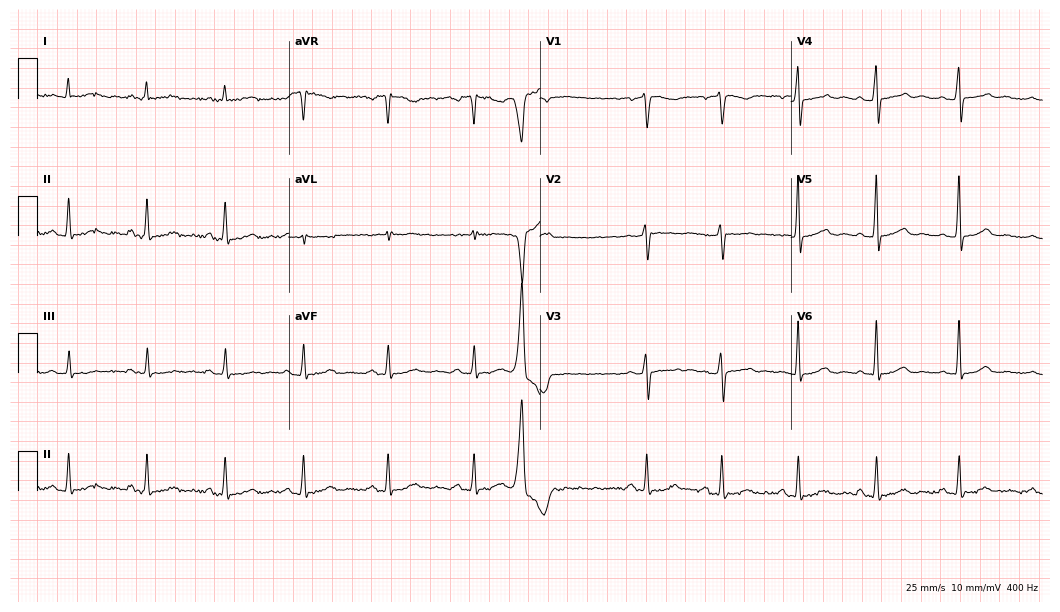
ECG (10.2-second recording at 400 Hz) — a 46-year-old female patient. Screened for six findings — first-degree AV block, right bundle branch block, left bundle branch block, sinus bradycardia, atrial fibrillation, sinus tachycardia — none is recorded.